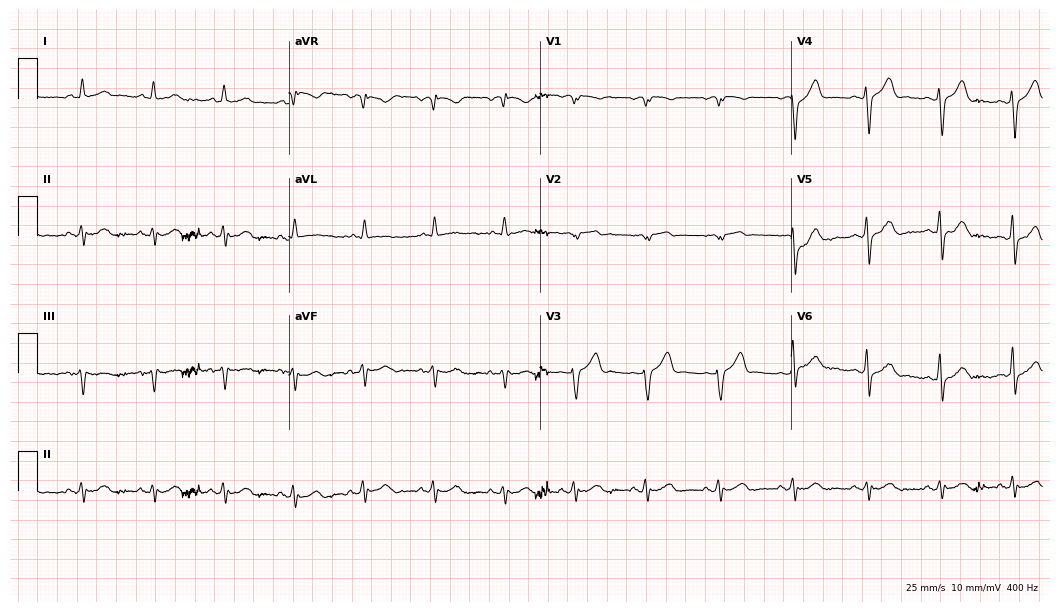
ECG — a 34-year-old man. Screened for six findings — first-degree AV block, right bundle branch block (RBBB), left bundle branch block (LBBB), sinus bradycardia, atrial fibrillation (AF), sinus tachycardia — none is recorded.